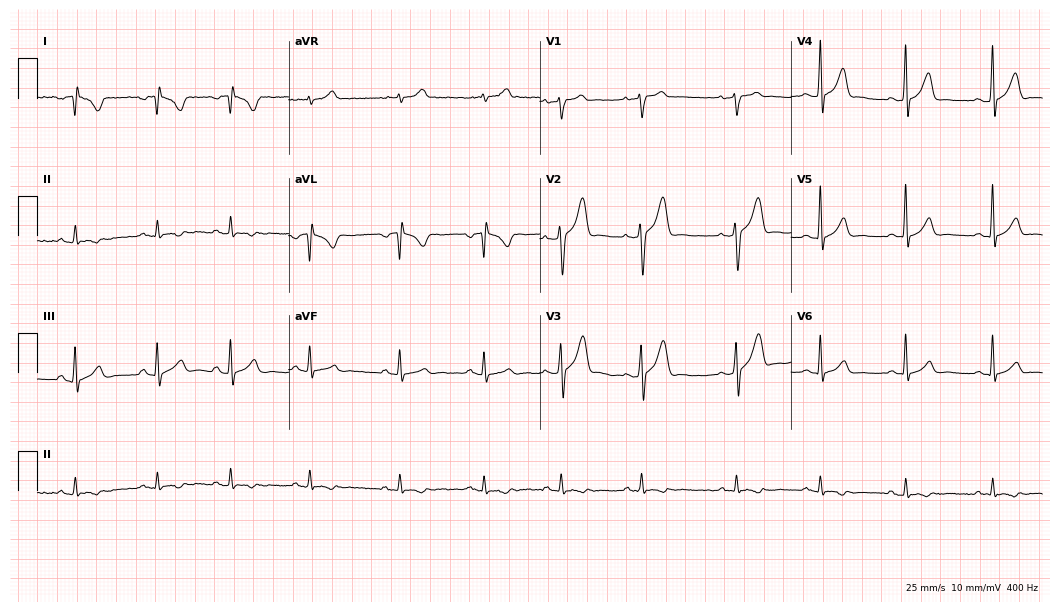
12-lead ECG from a 23-year-old male. No first-degree AV block, right bundle branch block, left bundle branch block, sinus bradycardia, atrial fibrillation or sinus tachycardia recorded for this tracing. Other findings, if any, are not listed.